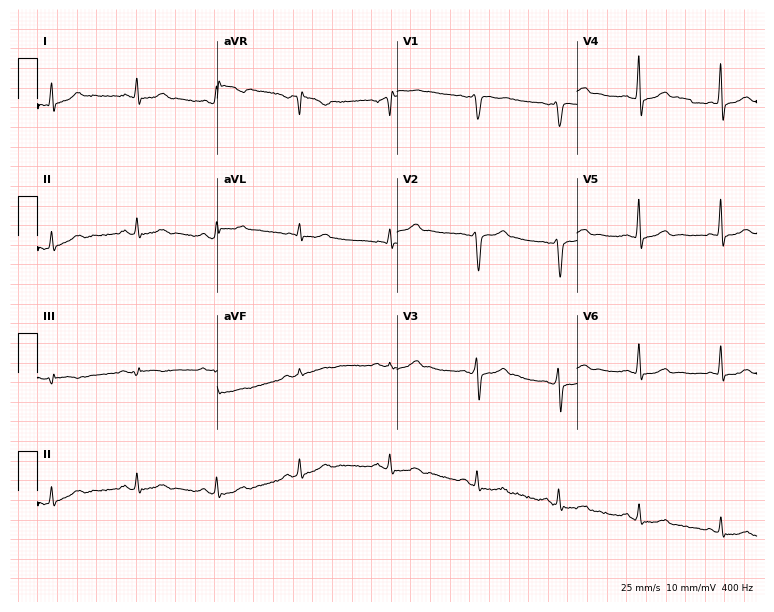
12-lead ECG from a 42-year-old man (7.3-second recording at 400 Hz). No first-degree AV block, right bundle branch block, left bundle branch block, sinus bradycardia, atrial fibrillation or sinus tachycardia recorded for this tracing. Only these six findings were labelled.